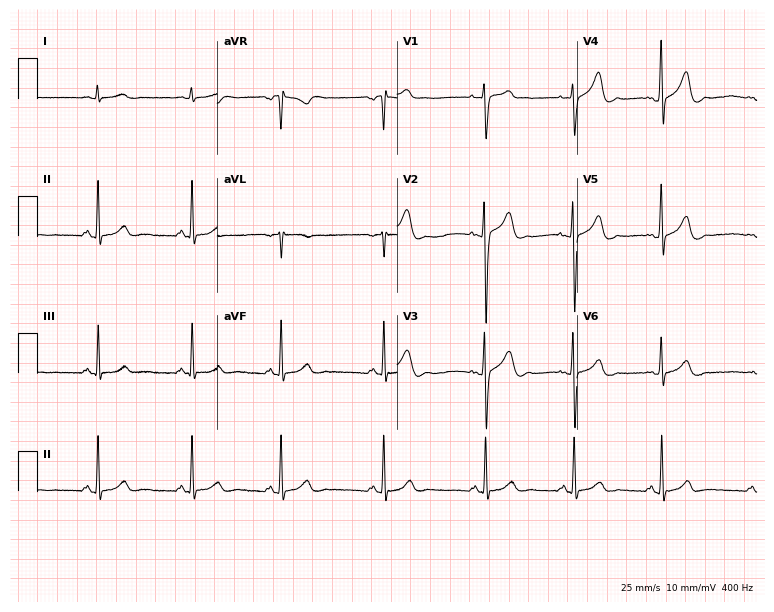
12-lead ECG from a 26-year-old male. Labelled as a normal ECG.